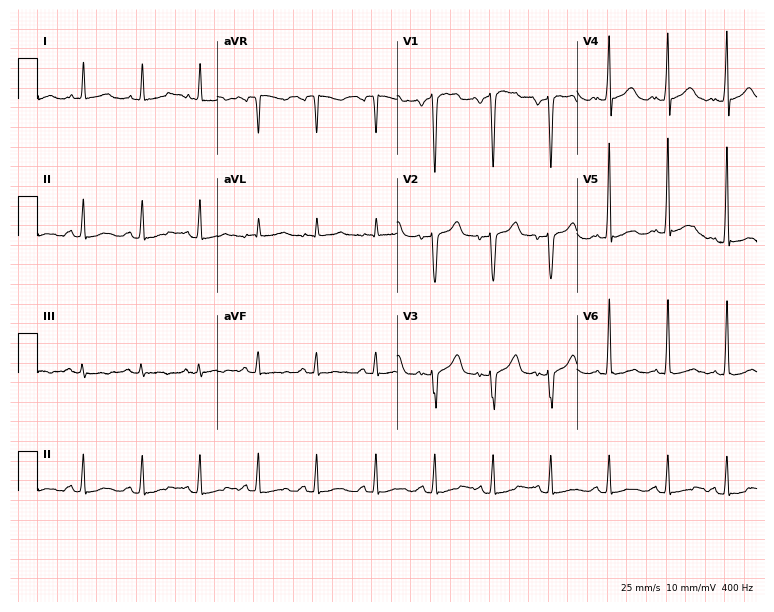
Resting 12-lead electrocardiogram (7.3-second recording at 400 Hz). Patient: a man, 51 years old. None of these six findings is recorded: first-degree AV block, right bundle branch block, left bundle branch block, sinus bradycardia, atrial fibrillation, sinus tachycardia.